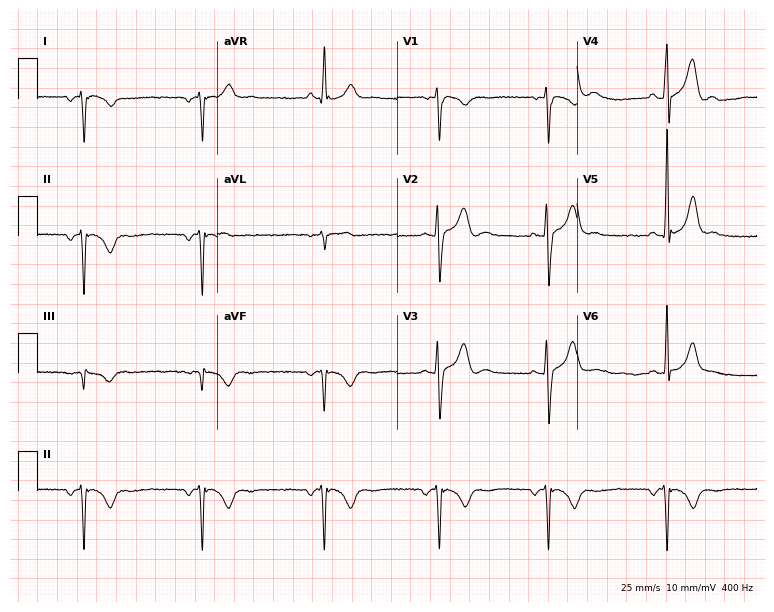
Electrocardiogram, a 34-year-old male patient. Of the six screened findings (first-degree AV block, right bundle branch block, left bundle branch block, sinus bradycardia, atrial fibrillation, sinus tachycardia), none is recorded. Findings outside these six are not listed.